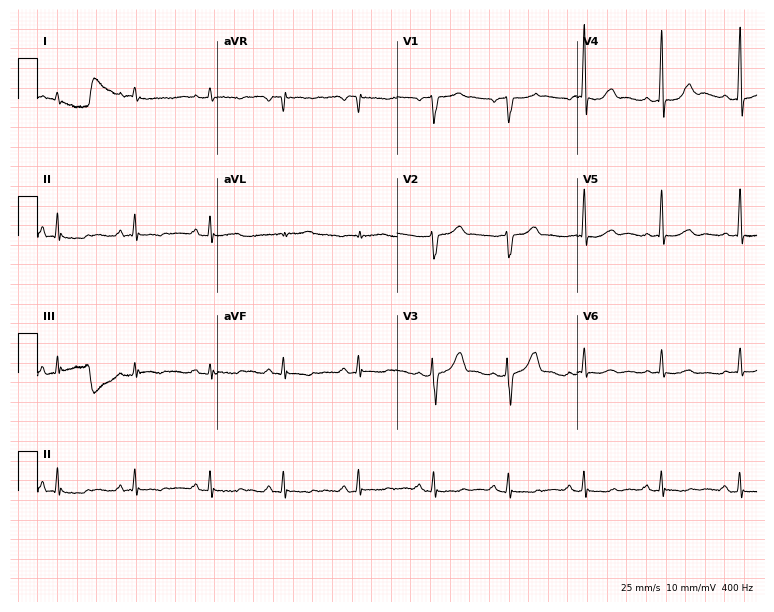
12-lead ECG from a male patient, 64 years old (7.3-second recording at 400 Hz). No first-degree AV block, right bundle branch block, left bundle branch block, sinus bradycardia, atrial fibrillation or sinus tachycardia recorded for this tracing.